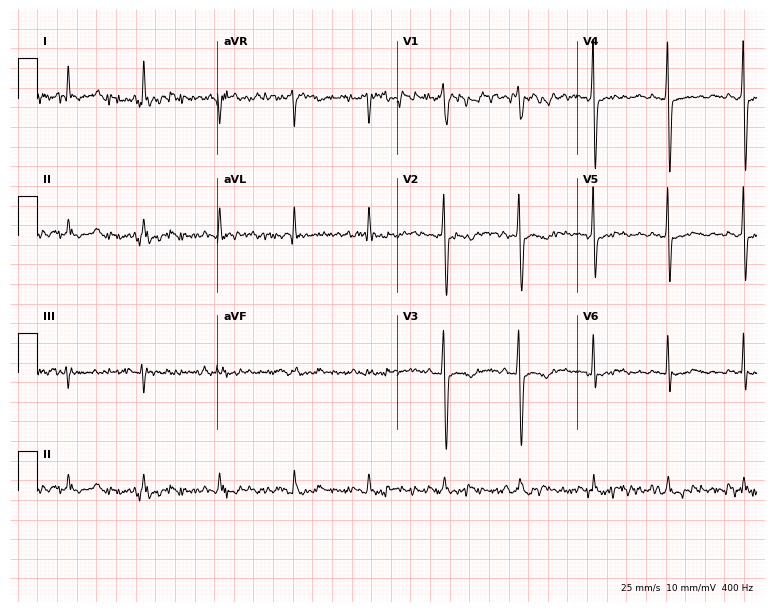
Resting 12-lead electrocardiogram (7.3-second recording at 400 Hz). Patient: a female, 70 years old. None of these six findings is recorded: first-degree AV block, right bundle branch block (RBBB), left bundle branch block (LBBB), sinus bradycardia, atrial fibrillation (AF), sinus tachycardia.